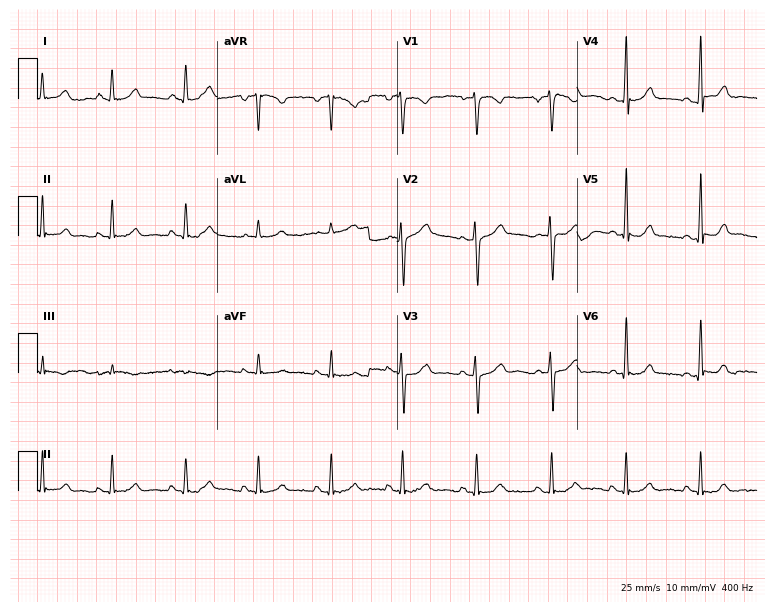
12-lead ECG from a 28-year-old female patient. Screened for six findings — first-degree AV block, right bundle branch block, left bundle branch block, sinus bradycardia, atrial fibrillation, sinus tachycardia — none is recorded. Findings outside these six are not listed.